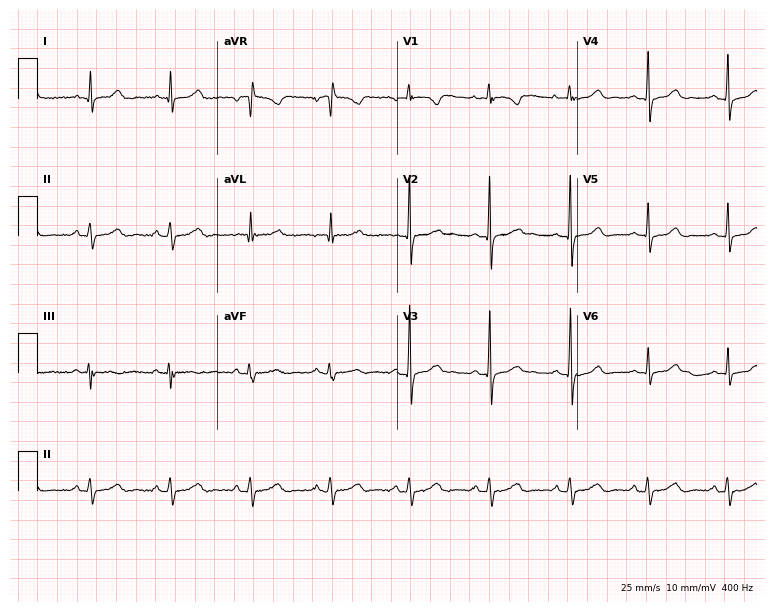
Resting 12-lead electrocardiogram. Patient: a 19-year-old woman. Read as a normal ECG.